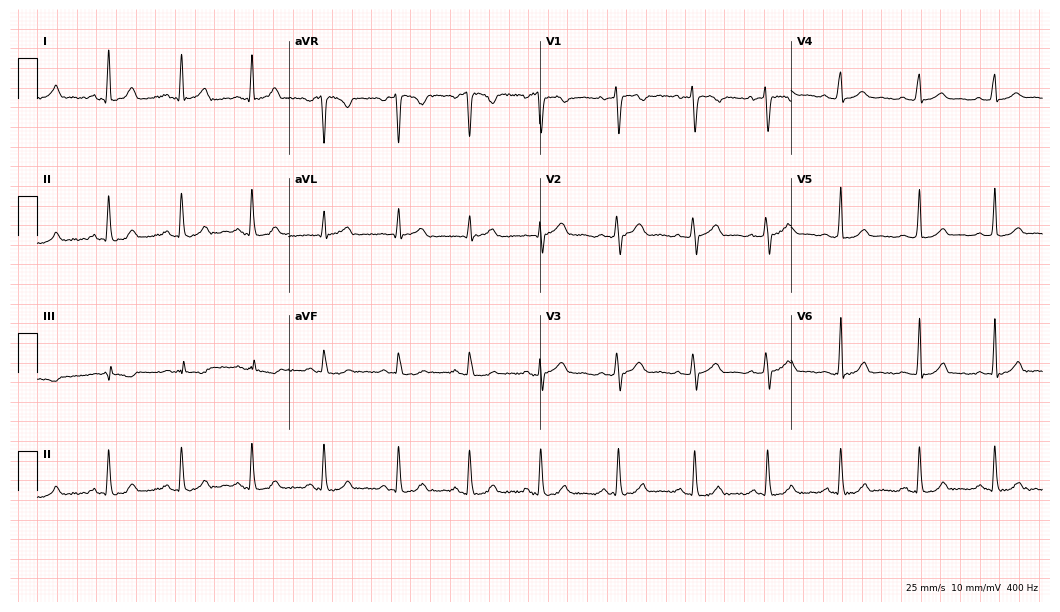
Resting 12-lead electrocardiogram. Patient: a female, 22 years old. Read as a normal ECG.